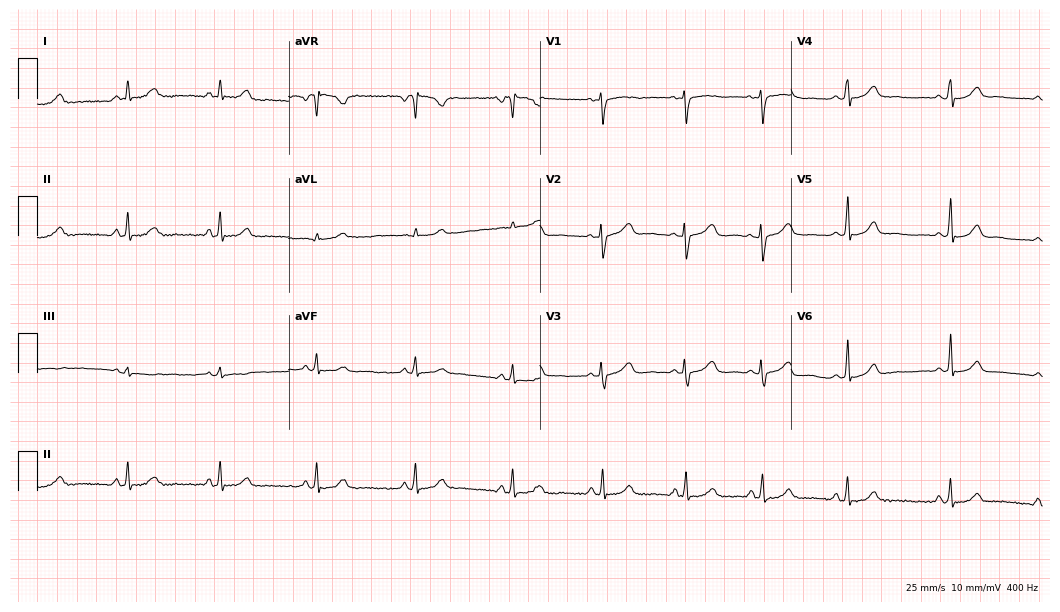
12-lead ECG from a woman, 39 years old. Screened for six findings — first-degree AV block, right bundle branch block, left bundle branch block, sinus bradycardia, atrial fibrillation, sinus tachycardia — none is recorded. Findings outside these six are not listed.